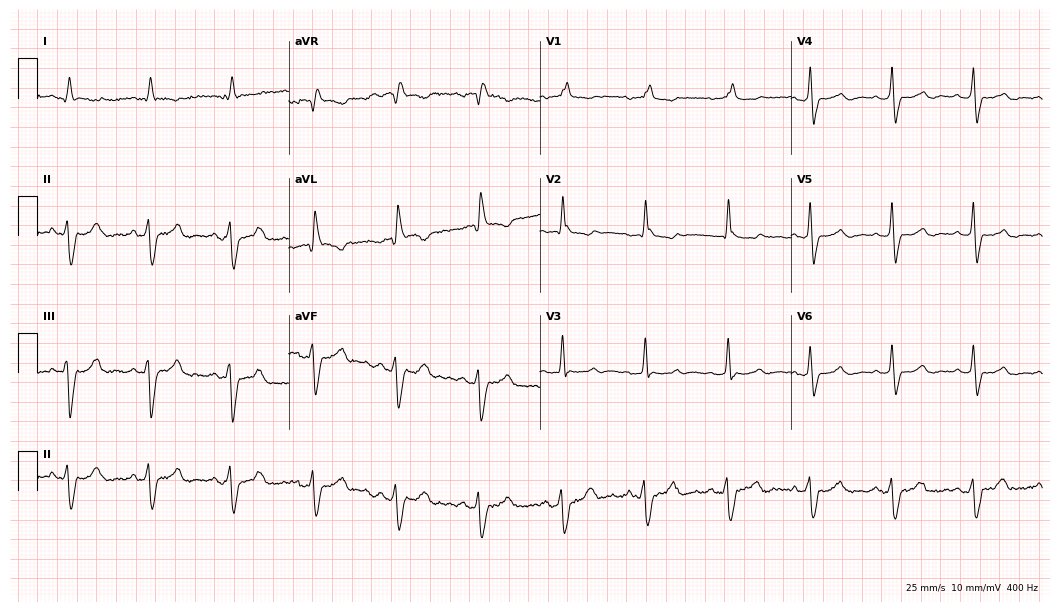
Standard 12-lead ECG recorded from a 63-year-old woman (10.2-second recording at 400 Hz). None of these six findings is recorded: first-degree AV block, right bundle branch block (RBBB), left bundle branch block (LBBB), sinus bradycardia, atrial fibrillation (AF), sinus tachycardia.